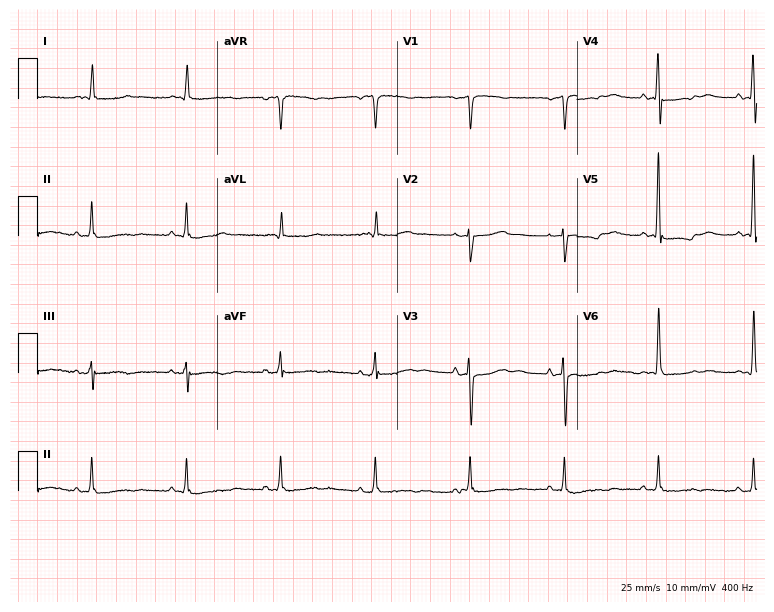
12-lead ECG from a female, 75 years old. Labelled as a normal ECG.